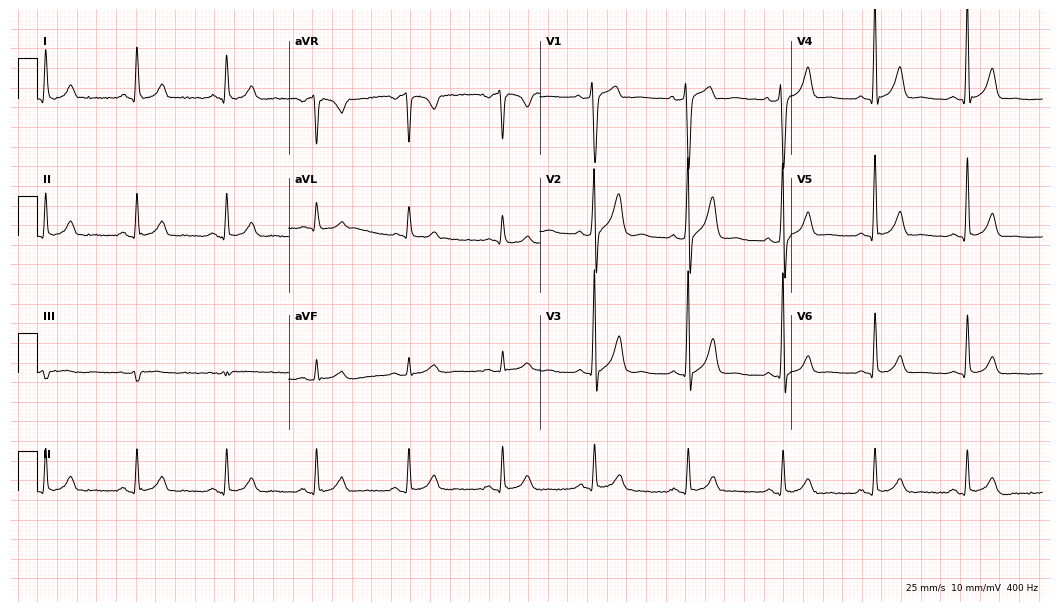
Standard 12-lead ECG recorded from a man, 30 years old (10.2-second recording at 400 Hz). None of these six findings is recorded: first-degree AV block, right bundle branch block, left bundle branch block, sinus bradycardia, atrial fibrillation, sinus tachycardia.